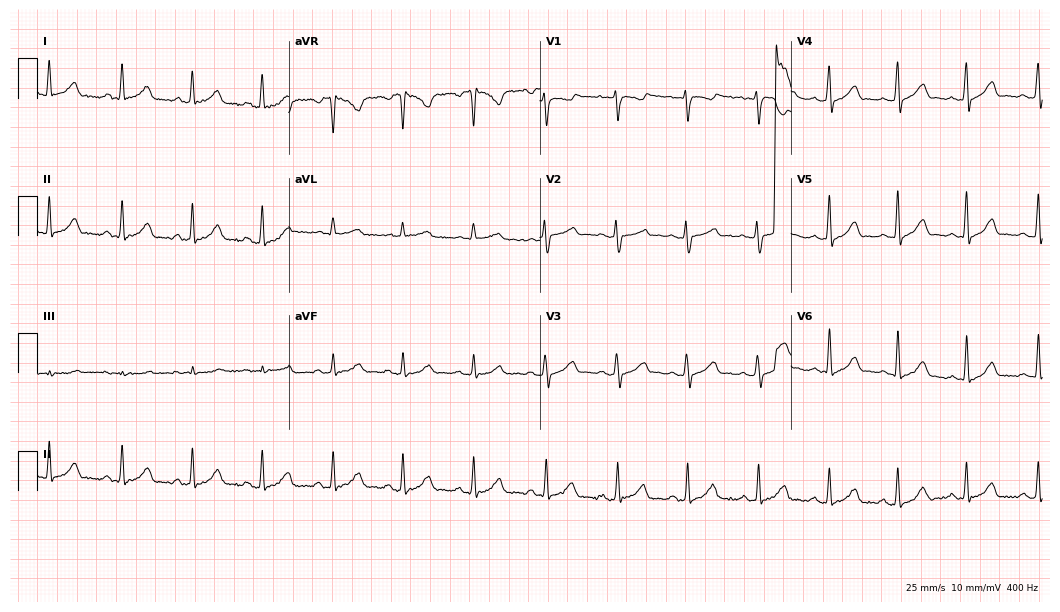
Electrocardiogram (10.2-second recording at 400 Hz), a woman, 32 years old. Overall reading on record: normal ECG.